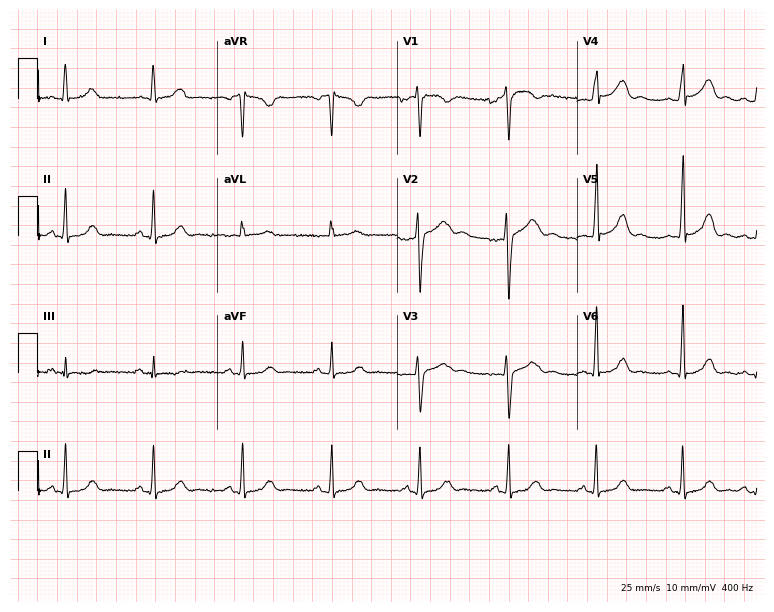
Resting 12-lead electrocardiogram. Patient: a 23-year-old female. Read as a normal ECG.